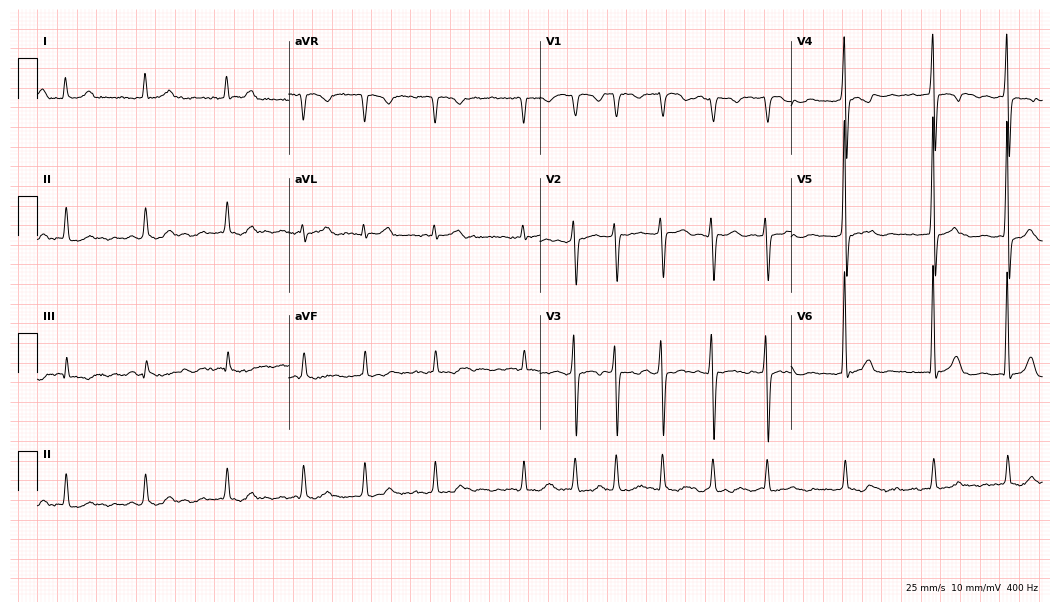
12-lead ECG from a female patient, 82 years old (10.2-second recording at 400 Hz). Shows atrial fibrillation.